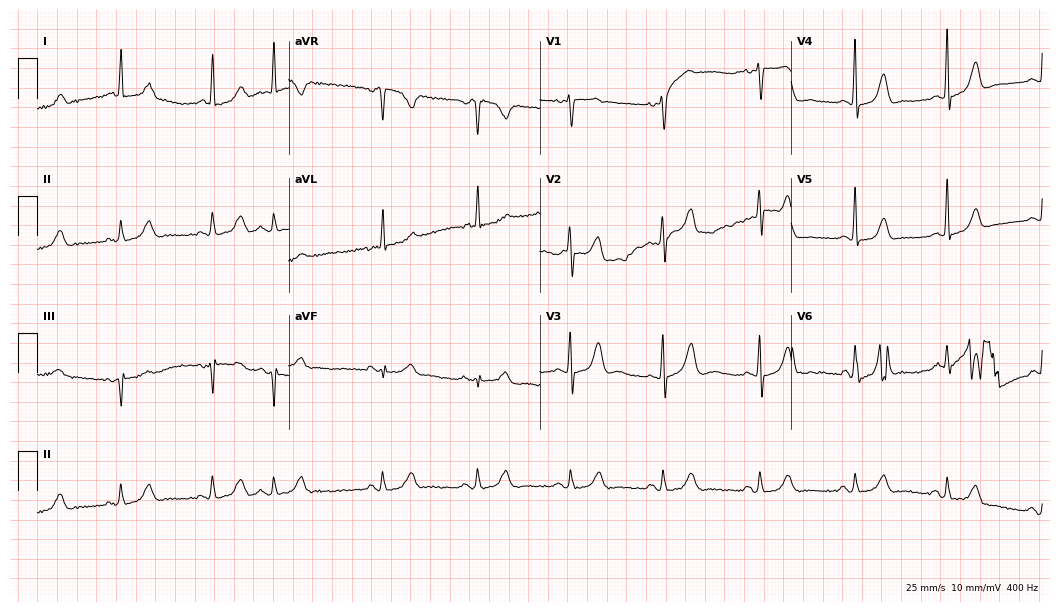
Electrocardiogram (10.2-second recording at 400 Hz), a woman, 71 years old. Of the six screened findings (first-degree AV block, right bundle branch block, left bundle branch block, sinus bradycardia, atrial fibrillation, sinus tachycardia), none is recorded. Other findings, if any, are not listed.